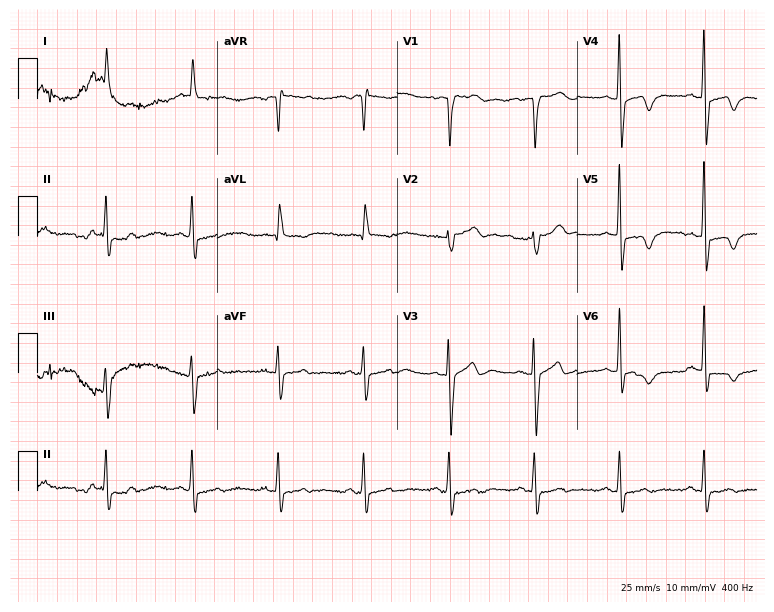
Standard 12-lead ECG recorded from a male patient, 80 years old (7.3-second recording at 400 Hz). None of these six findings is recorded: first-degree AV block, right bundle branch block, left bundle branch block, sinus bradycardia, atrial fibrillation, sinus tachycardia.